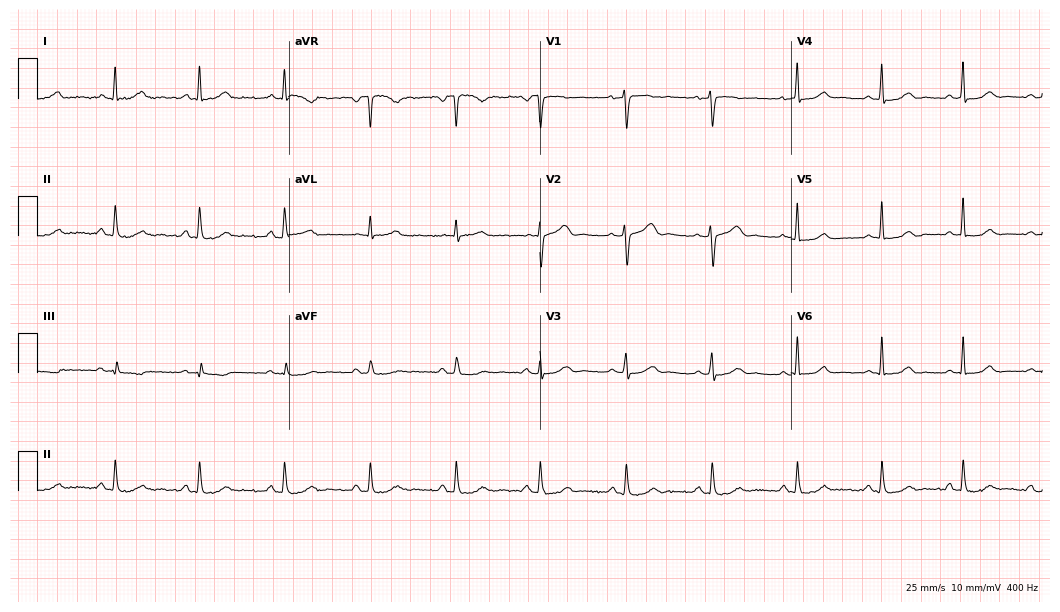
Resting 12-lead electrocardiogram (10.2-second recording at 400 Hz). Patient: a female, 44 years old. Read as a normal ECG.